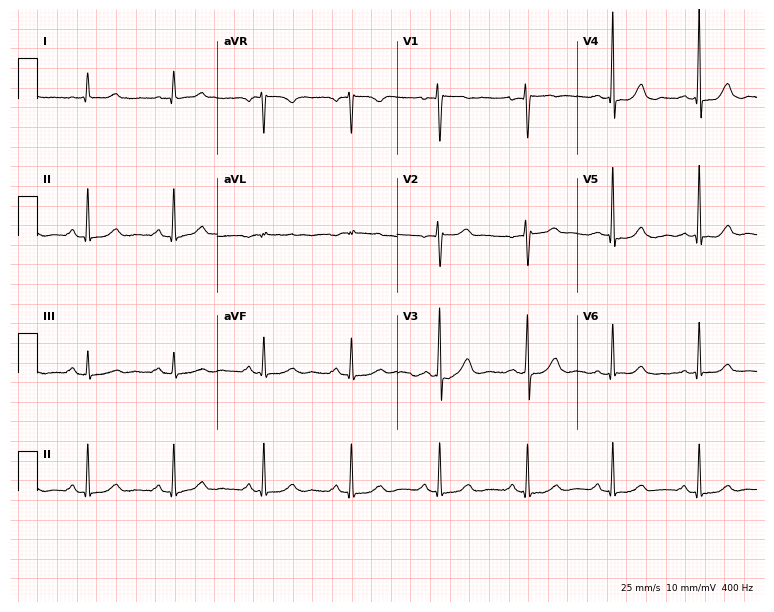
Standard 12-lead ECG recorded from a 39-year-old female. None of these six findings is recorded: first-degree AV block, right bundle branch block, left bundle branch block, sinus bradycardia, atrial fibrillation, sinus tachycardia. Other findings, if any, are not listed.